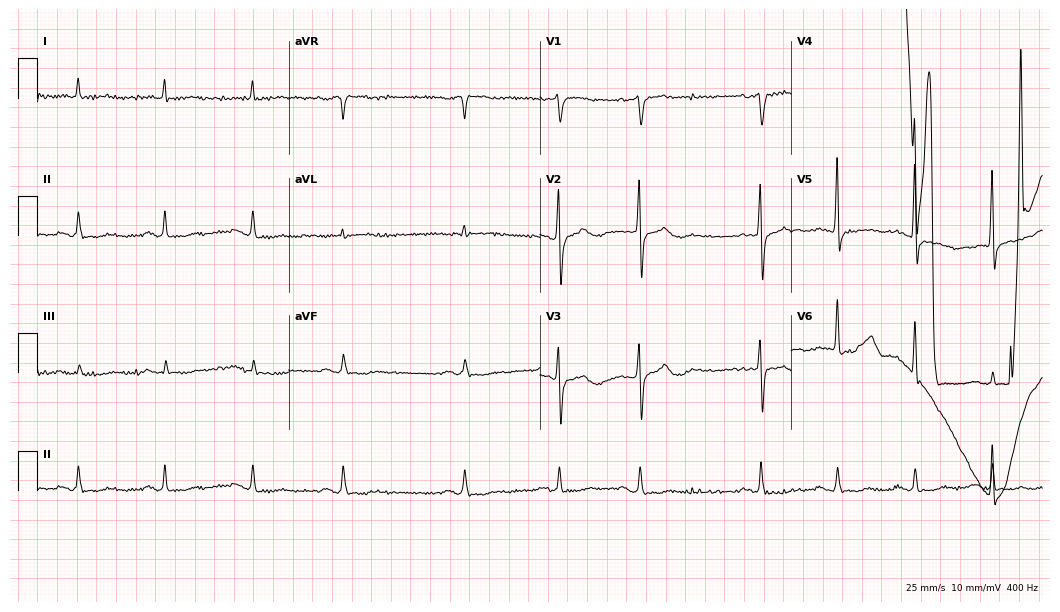
ECG (10.2-second recording at 400 Hz) — a 79-year-old male. Screened for six findings — first-degree AV block, right bundle branch block, left bundle branch block, sinus bradycardia, atrial fibrillation, sinus tachycardia — none is recorded.